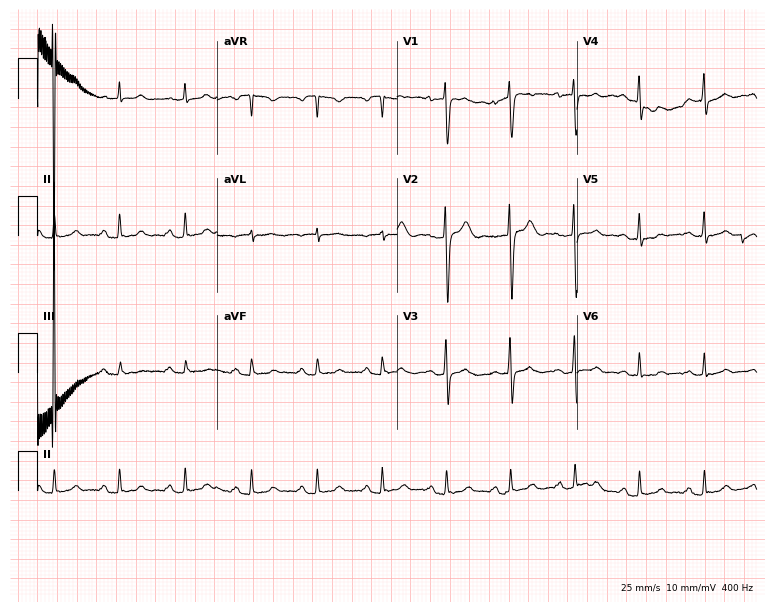
ECG — a 24-year-old female patient. Labelled as a normal ECG.